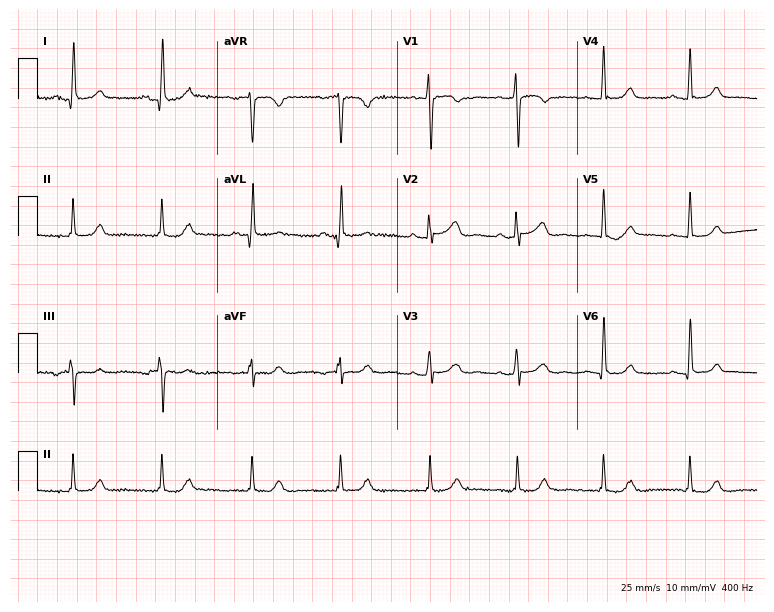
ECG (7.3-second recording at 400 Hz) — a 67-year-old woman. Screened for six findings — first-degree AV block, right bundle branch block (RBBB), left bundle branch block (LBBB), sinus bradycardia, atrial fibrillation (AF), sinus tachycardia — none is recorded. Findings outside these six are not listed.